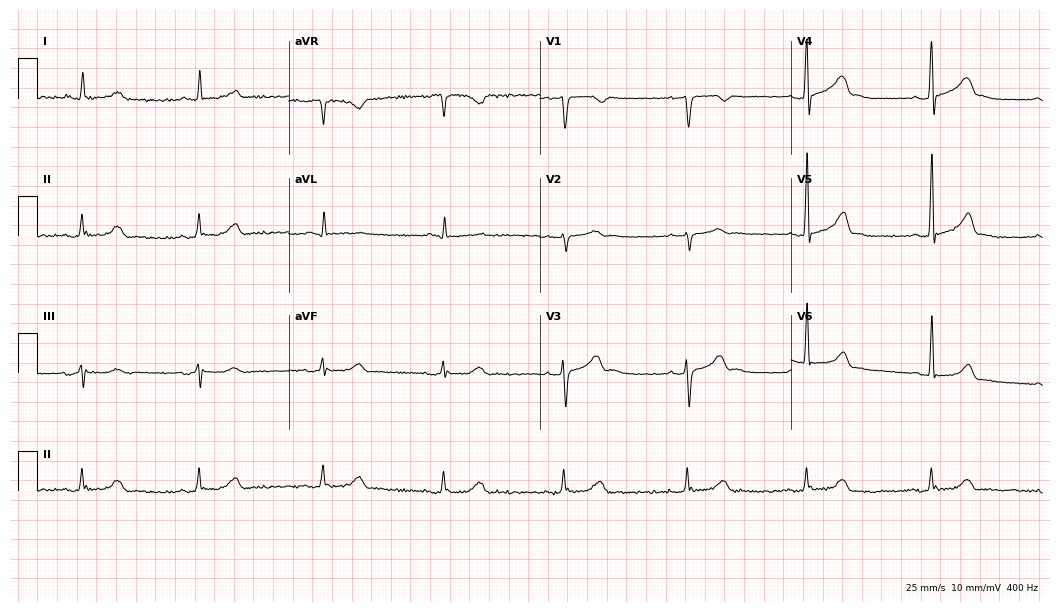
Standard 12-lead ECG recorded from a 71-year-old man. None of these six findings is recorded: first-degree AV block, right bundle branch block (RBBB), left bundle branch block (LBBB), sinus bradycardia, atrial fibrillation (AF), sinus tachycardia. Other findings, if any, are not listed.